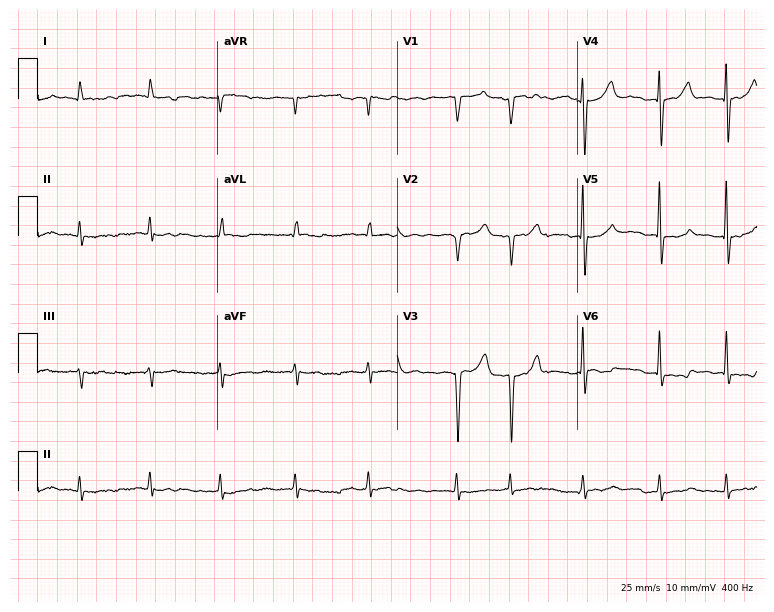
12-lead ECG from a female patient, 71 years old. Shows atrial fibrillation.